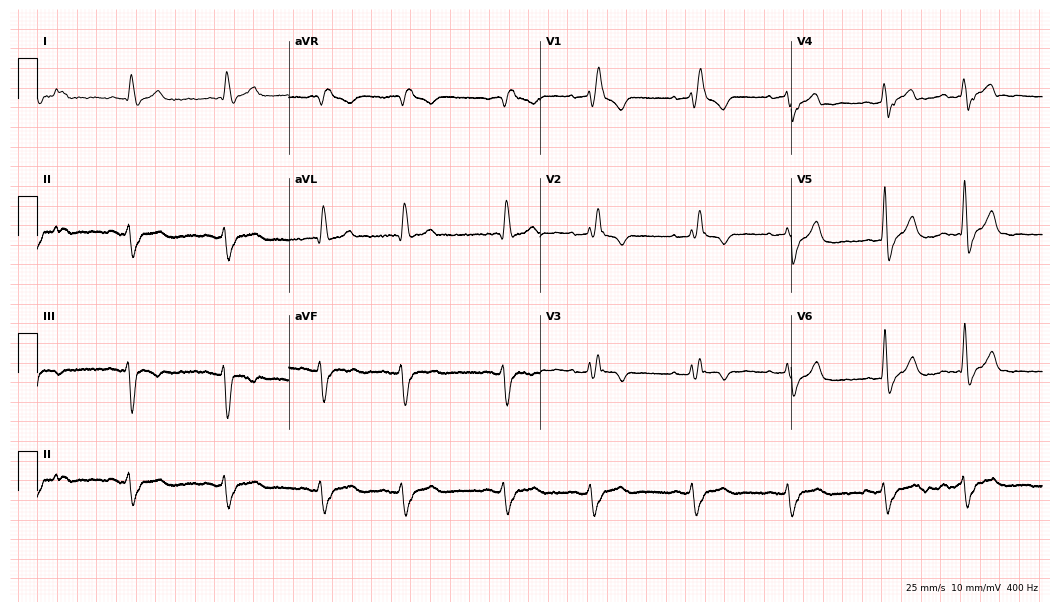
Resting 12-lead electrocardiogram (10.2-second recording at 400 Hz). Patient: a female, 79 years old. The tracing shows right bundle branch block.